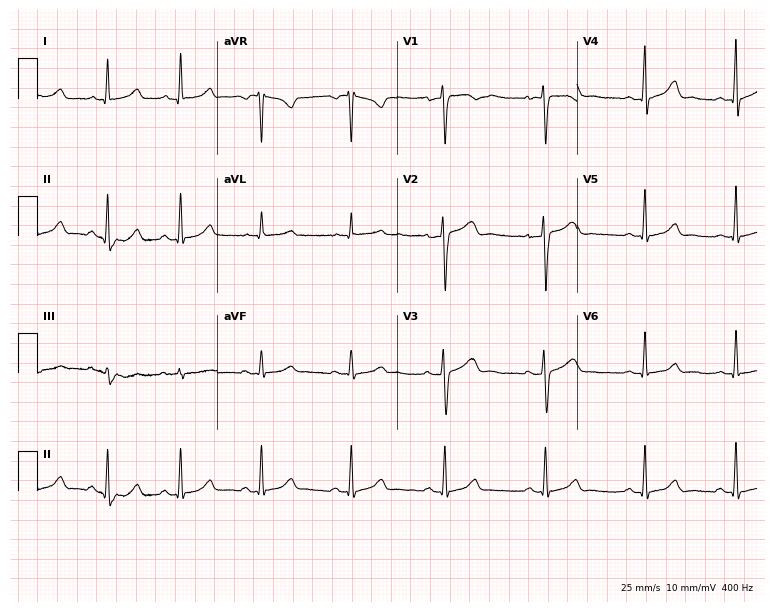
Resting 12-lead electrocardiogram (7.3-second recording at 400 Hz). Patient: a 22-year-old female. Read as a normal ECG.